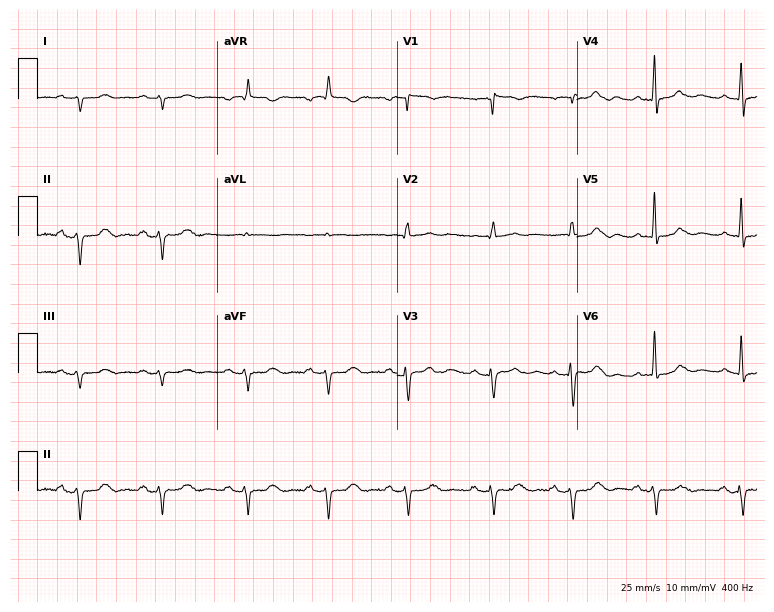
12-lead ECG from an 81-year-old woman (7.3-second recording at 400 Hz). No first-degree AV block, right bundle branch block, left bundle branch block, sinus bradycardia, atrial fibrillation or sinus tachycardia recorded for this tracing.